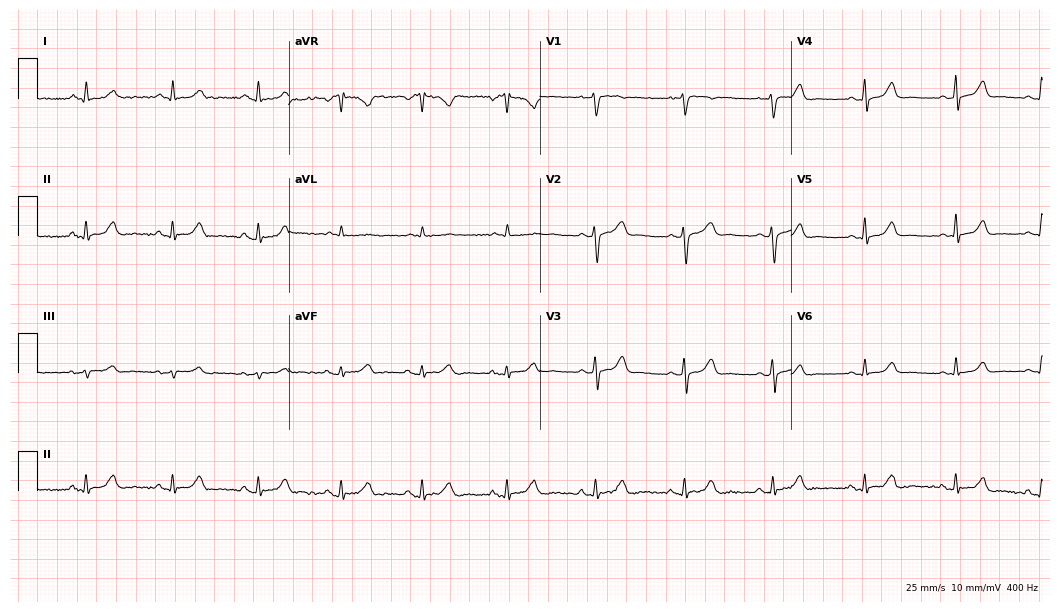
Resting 12-lead electrocardiogram (10.2-second recording at 400 Hz). Patient: a female, 43 years old. None of these six findings is recorded: first-degree AV block, right bundle branch block, left bundle branch block, sinus bradycardia, atrial fibrillation, sinus tachycardia.